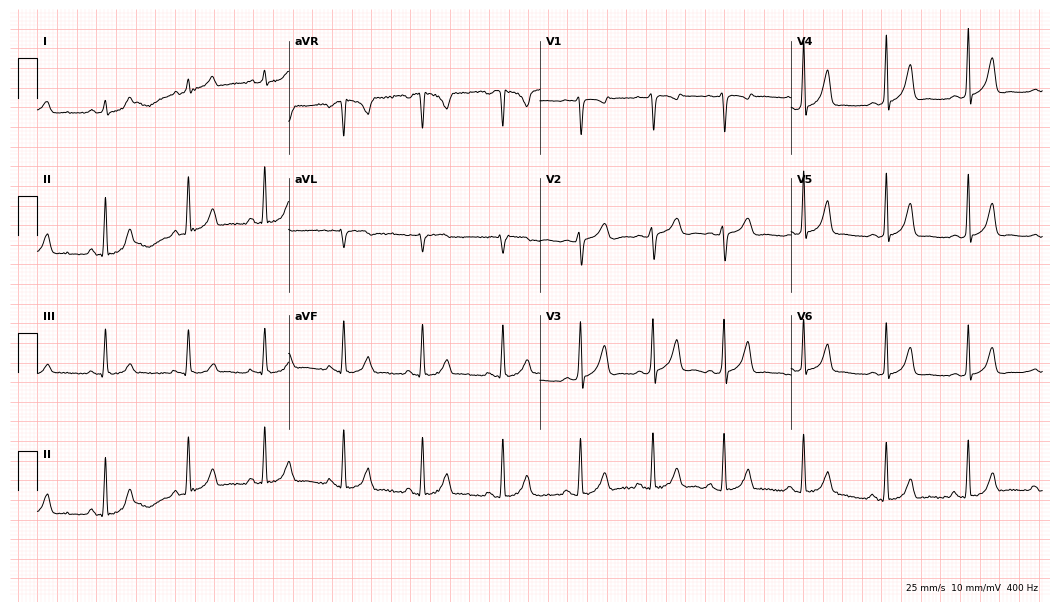
Standard 12-lead ECG recorded from a 19-year-old female patient. Read as a normal ECG.